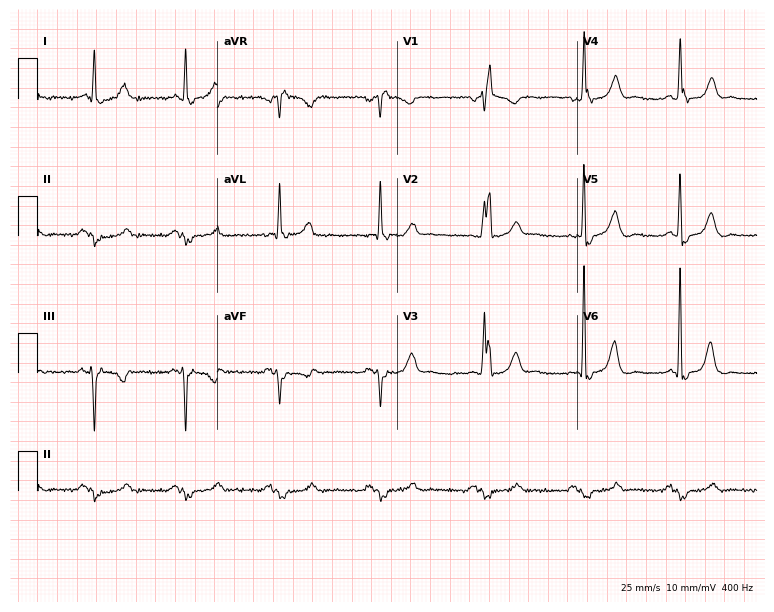
Resting 12-lead electrocardiogram (7.3-second recording at 400 Hz). Patient: a 66-year-old woman. The tracing shows right bundle branch block (RBBB).